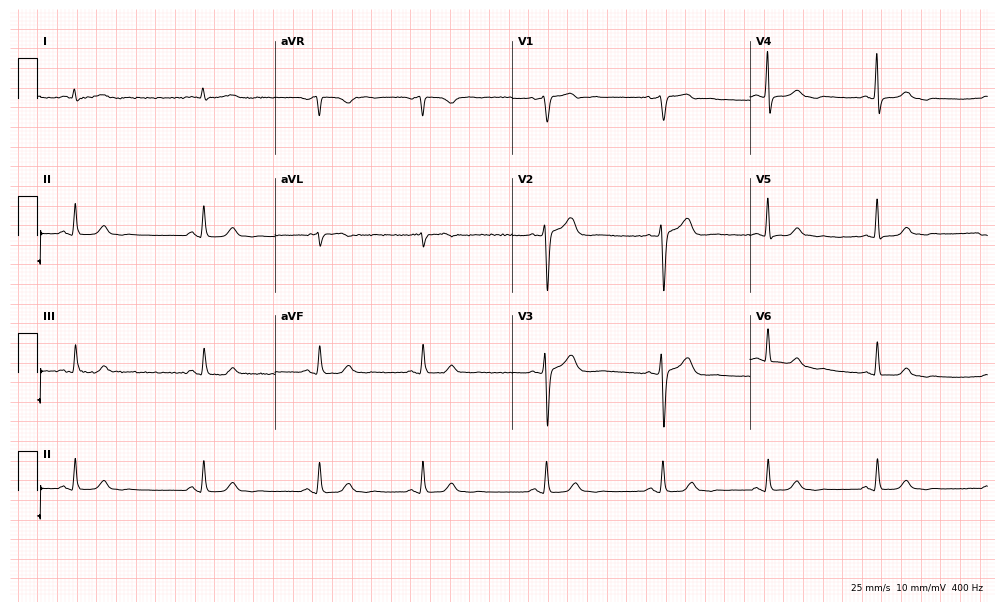
Electrocardiogram (9.7-second recording at 400 Hz), a 68-year-old female patient. Overall reading on record: normal ECG.